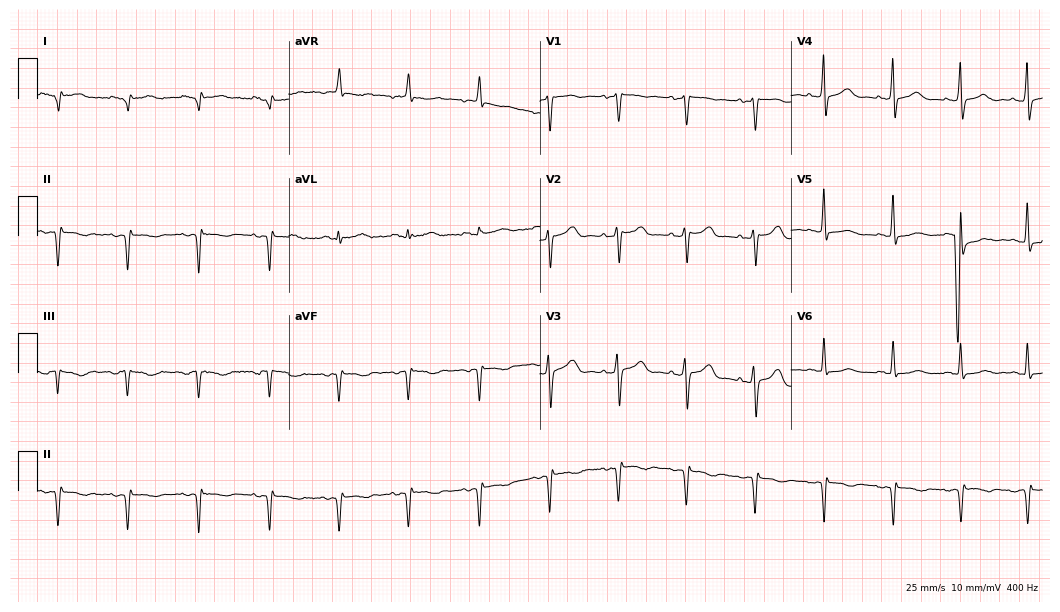
Electrocardiogram, a female patient, 63 years old. Of the six screened findings (first-degree AV block, right bundle branch block (RBBB), left bundle branch block (LBBB), sinus bradycardia, atrial fibrillation (AF), sinus tachycardia), none is recorded.